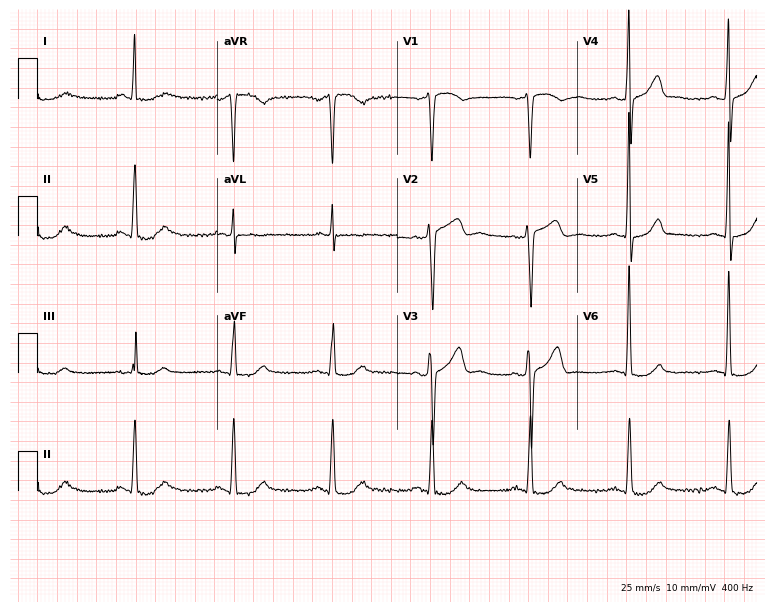
12-lead ECG from a male patient, 68 years old. Recorded interpretation: within normal limits.